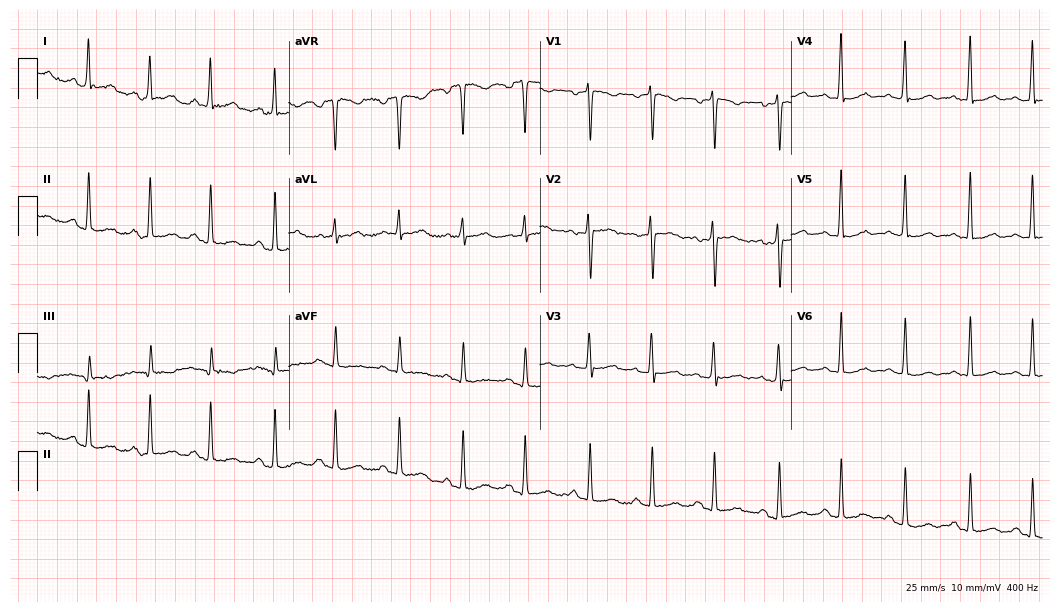
Electrocardiogram (10.2-second recording at 400 Hz), a woman, 32 years old. Of the six screened findings (first-degree AV block, right bundle branch block, left bundle branch block, sinus bradycardia, atrial fibrillation, sinus tachycardia), none is recorded.